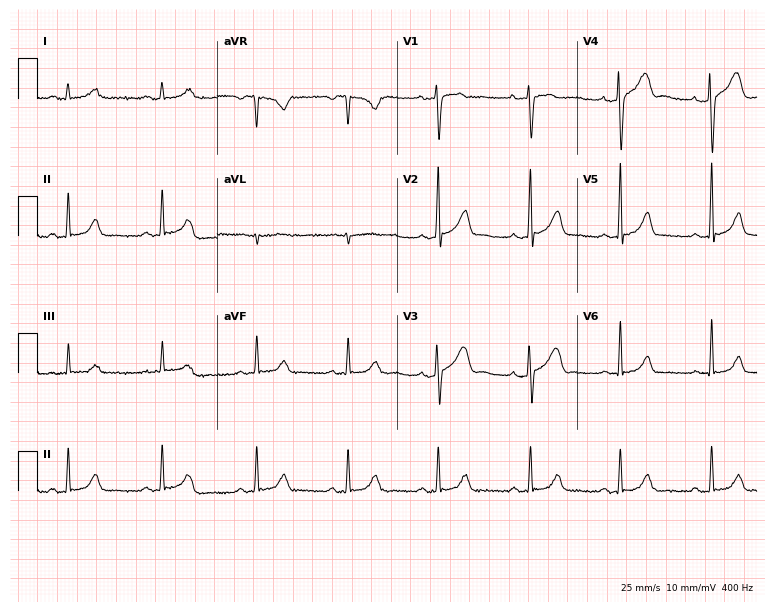
Electrocardiogram, a 22-year-old female. Overall reading on record: normal ECG.